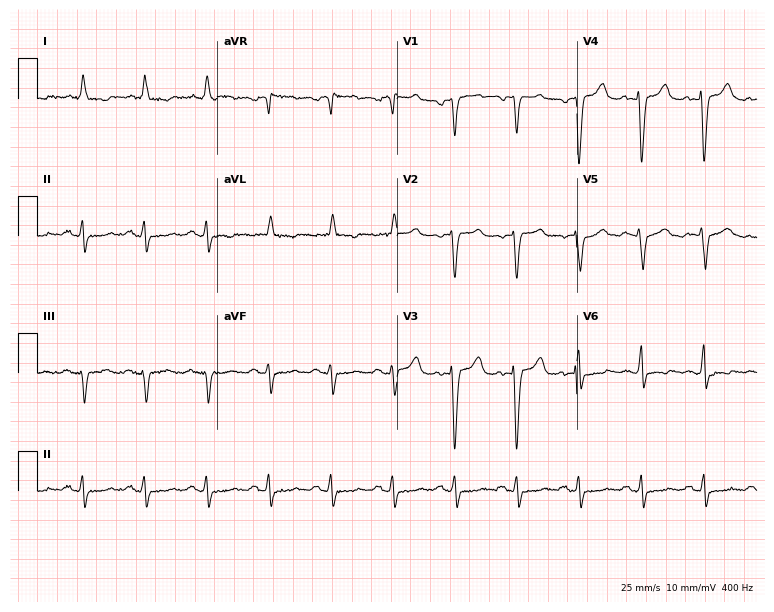
Standard 12-lead ECG recorded from a 66-year-old male. None of these six findings is recorded: first-degree AV block, right bundle branch block, left bundle branch block, sinus bradycardia, atrial fibrillation, sinus tachycardia.